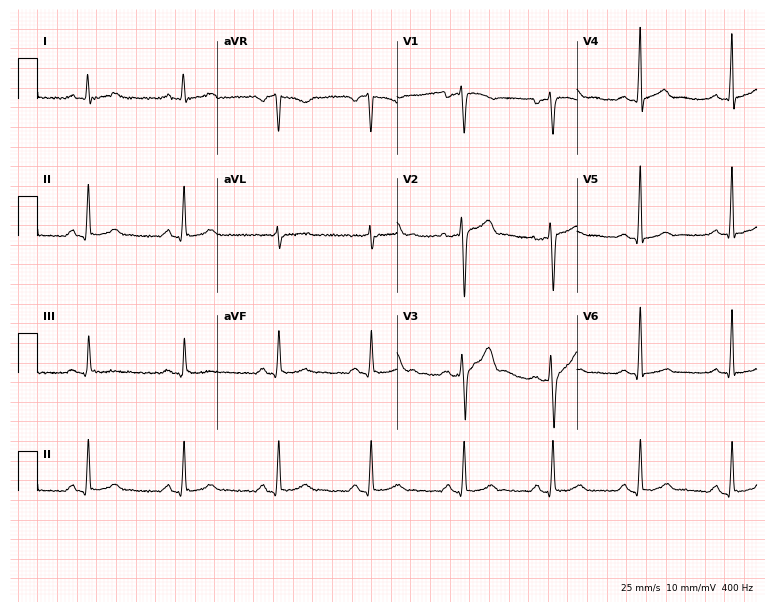
12-lead ECG from a male, 38 years old (7.3-second recording at 400 Hz). No first-degree AV block, right bundle branch block (RBBB), left bundle branch block (LBBB), sinus bradycardia, atrial fibrillation (AF) or sinus tachycardia recorded for this tracing. Findings outside these six are not listed.